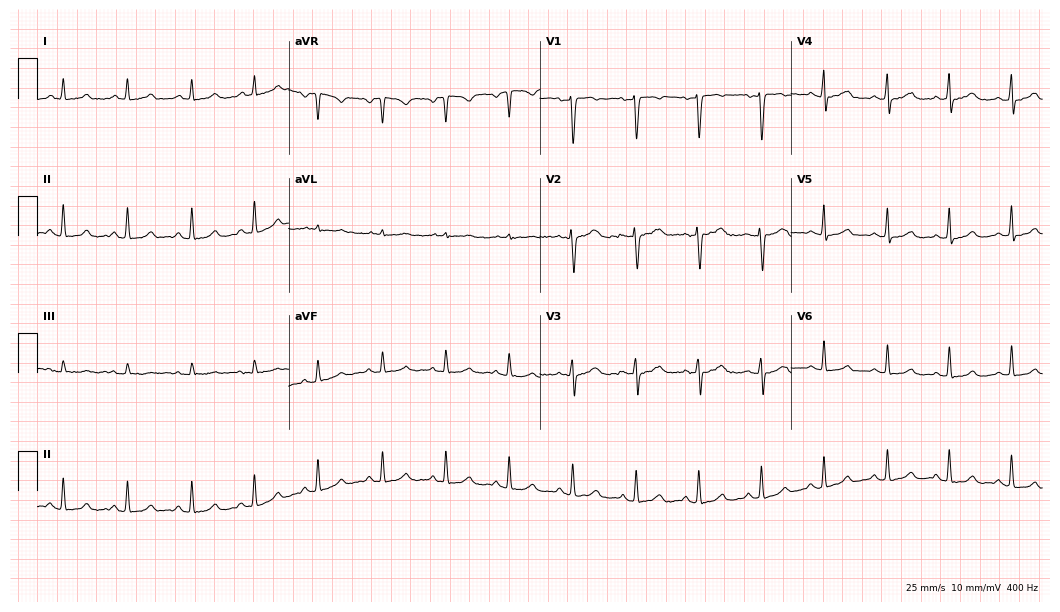
Resting 12-lead electrocardiogram. Patient: a 28-year-old female. None of these six findings is recorded: first-degree AV block, right bundle branch block (RBBB), left bundle branch block (LBBB), sinus bradycardia, atrial fibrillation (AF), sinus tachycardia. Other findings, if any, are not listed.